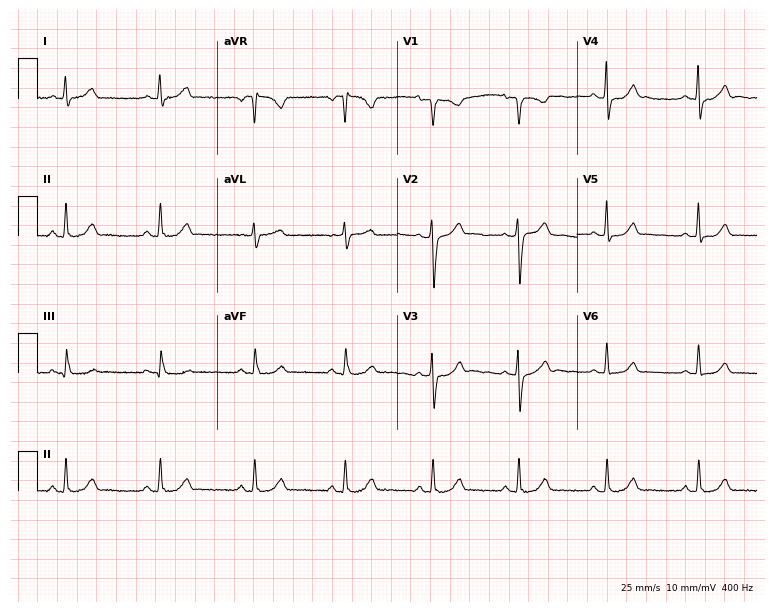
12-lead ECG from a female patient, 47 years old. Recorded interpretation: within normal limits.